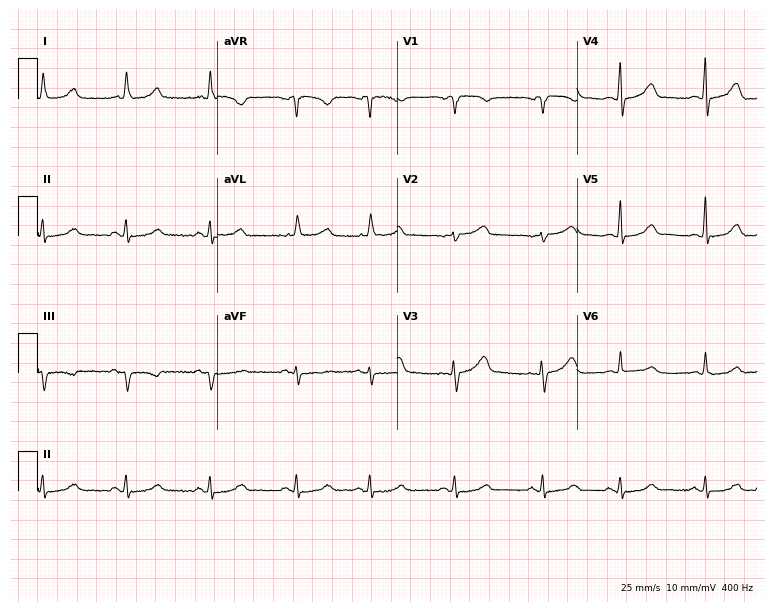
Electrocardiogram (7.3-second recording at 400 Hz), a 72-year-old woman. Overall reading on record: normal ECG.